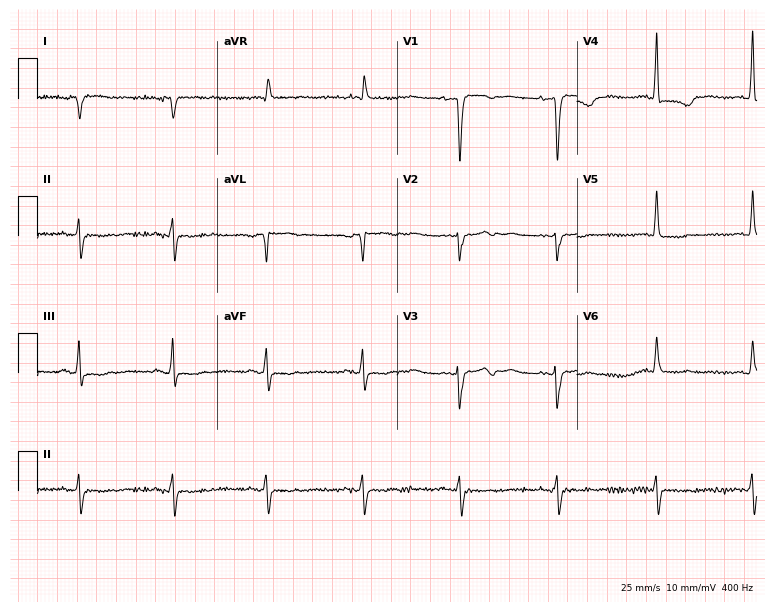
Resting 12-lead electrocardiogram. Patient: a female, 62 years old. None of these six findings is recorded: first-degree AV block, right bundle branch block (RBBB), left bundle branch block (LBBB), sinus bradycardia, atrial fibrillation (AF), sinus tachycardia.